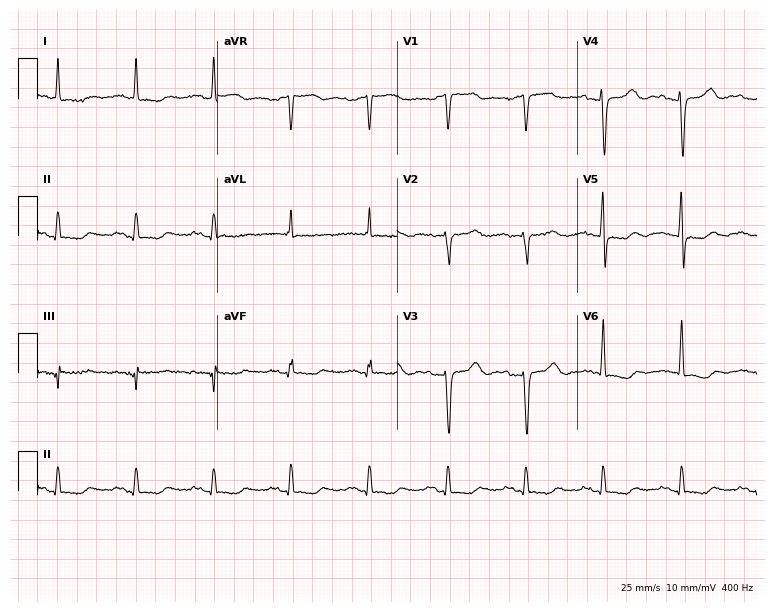
12-lead ECG from a 55-year-old female patient. No first-degree AV block, right bundle branch block, left bundle branch block, sinus bradycardia, atrial fibrillation or sinus tachycardia recorded for this tracing. Findings outside these six are not listed.